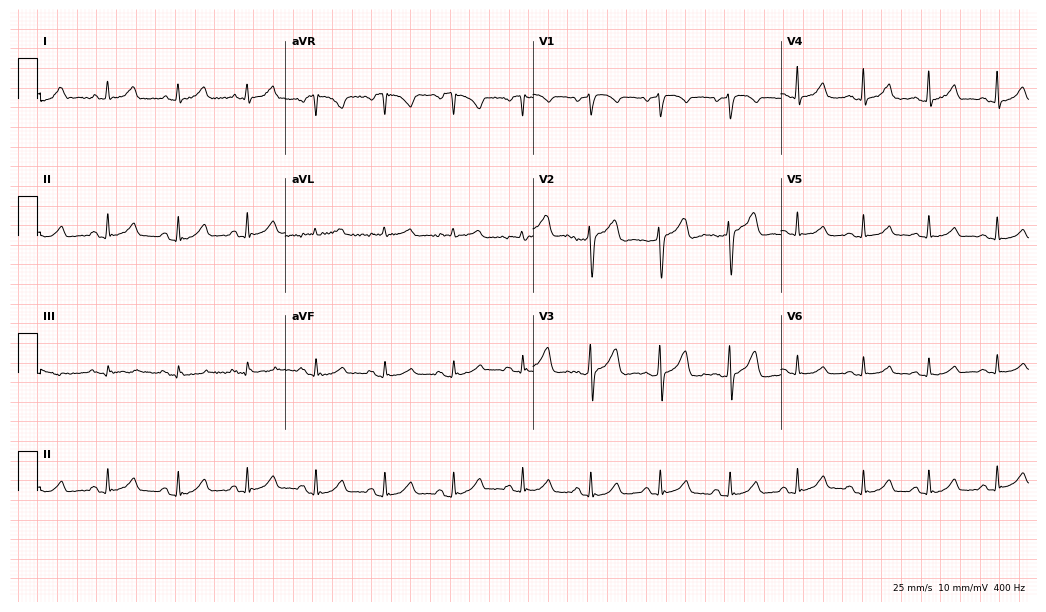
Electrocardiogram (10.1-second recording at 400 Hz), a female, 63 years old. Overall reading on record: normal ECG.